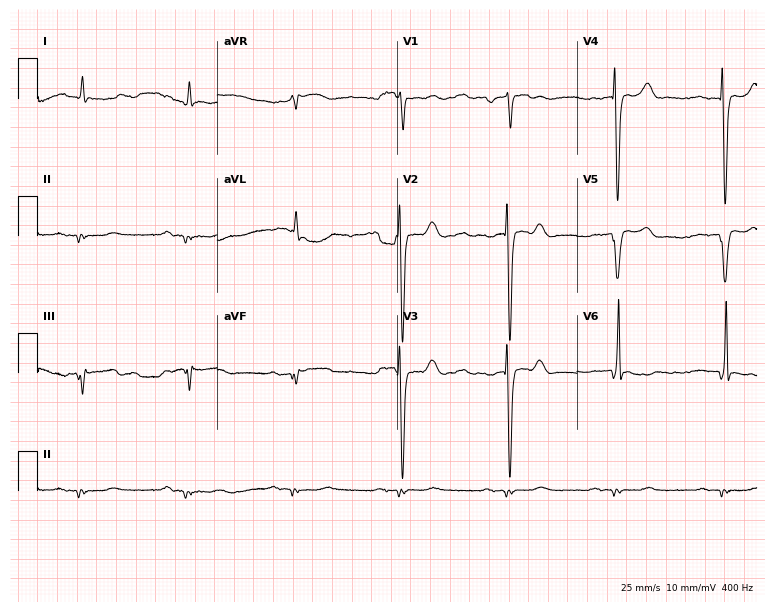
12-lead ECG from a man, 75 years old. Screened for six findings — first-degree AV block, right bundle branch block, left bundle branch block, sinus bradycardia, atrial fibrillation, sinus tachycardia — none is recorded.